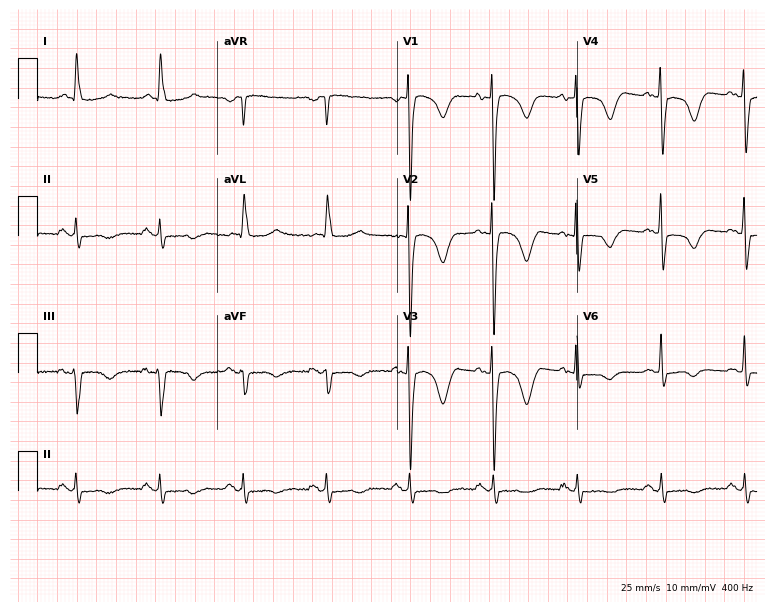
Resting 12-lead electrocardiogram (7.3-second recording at 400 Hz). Patient: a female, 83 years old. None of these six findings is recorded: first-degree AV block, right bundle branch block, left bundle branch block, sinus bradycardia, atrial fibrillation, sinus tachycardia.